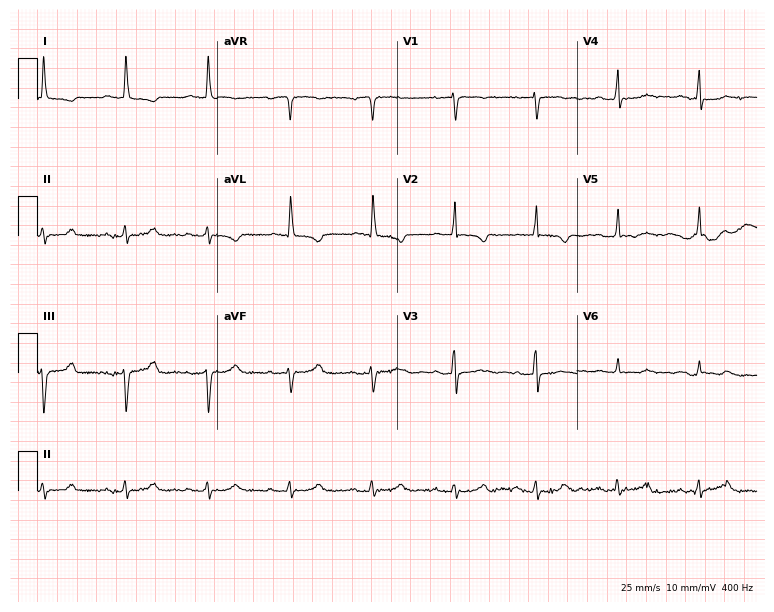
Standard 12-lead ECG recorded from an 85-year-old female patient (7.3-second recording at 400 Hz). None of these six findings is recorded: first-degree AV block, right bundle branch block, left bundle branch block, sinus bradycardia, atrial fibrillation, sinus tachycardia. Findings outside these six are not listed.